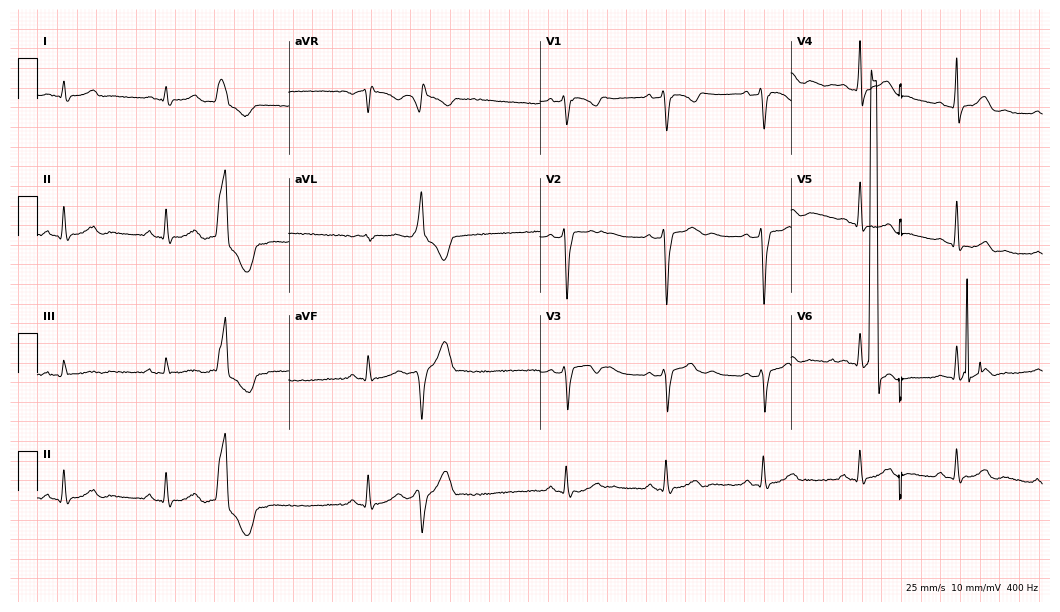
12-lead ECG (10.2-second recording at 400 Hz) from a 32-year-old male. Screened for six findings — first-degree AV block, right bundle branch block, left bundle branch block, sinus bradycardia, atrial fibrillation, sinus tachycardia — none is recorded. Other findings, if any, are not listed.